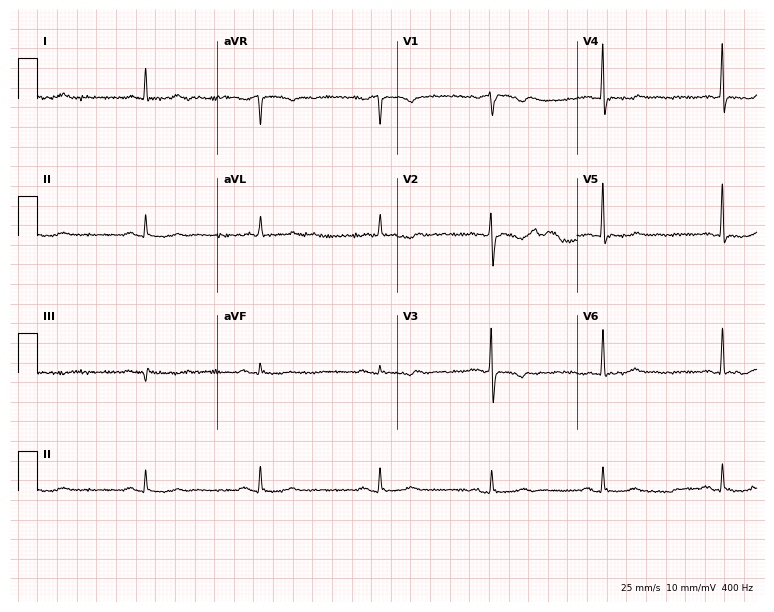
Electrocardiogram (7.3-second recording at 400 Hz), a 68-year-old female. Of the six screened findings (first-degree AV block, right bundle branch block, left bundle branch block, sinus bradycardia, atrial fibrillation, sinus tachycardia), none is recorded.